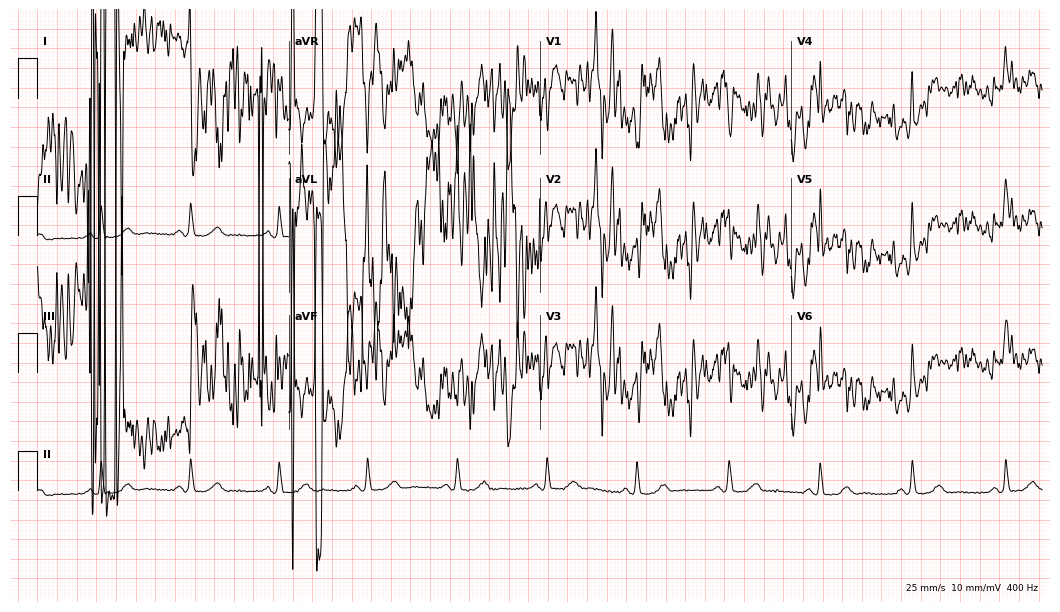
ECG — a 74-year-old woman. Screened for six findings — first-degree AV block, right bundle branch block (RBBB), left bundle branch block (LBBB), sinus bradycardia, atrial fibrillation (AF), sinus tachycardia — none is recorded. Only these six findings were labelled.